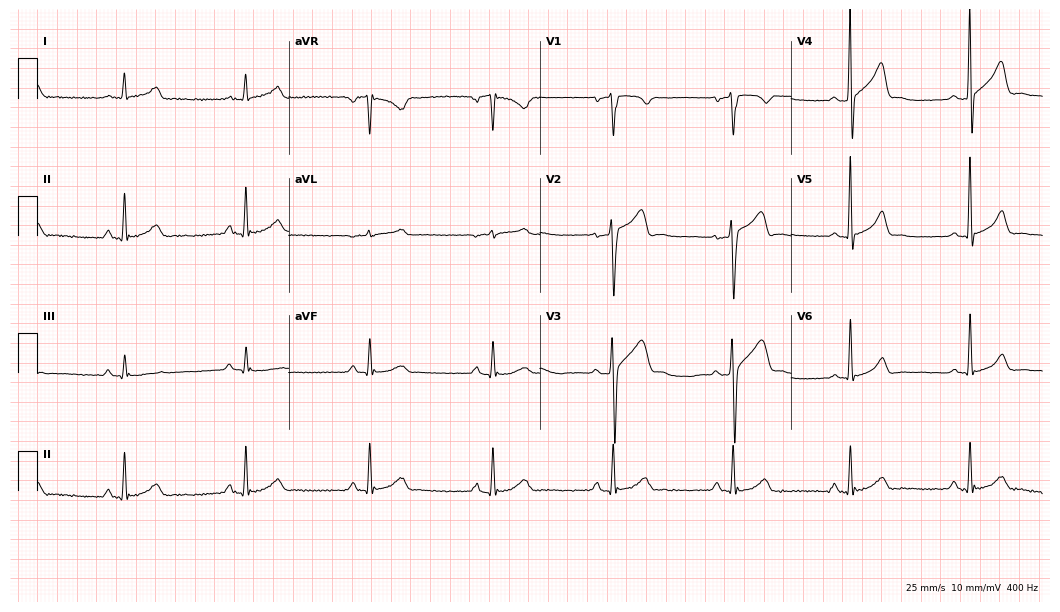
Resting 12-lead electrocardiogram. Patient: a 52-year-old man. Read as a normal ECG.